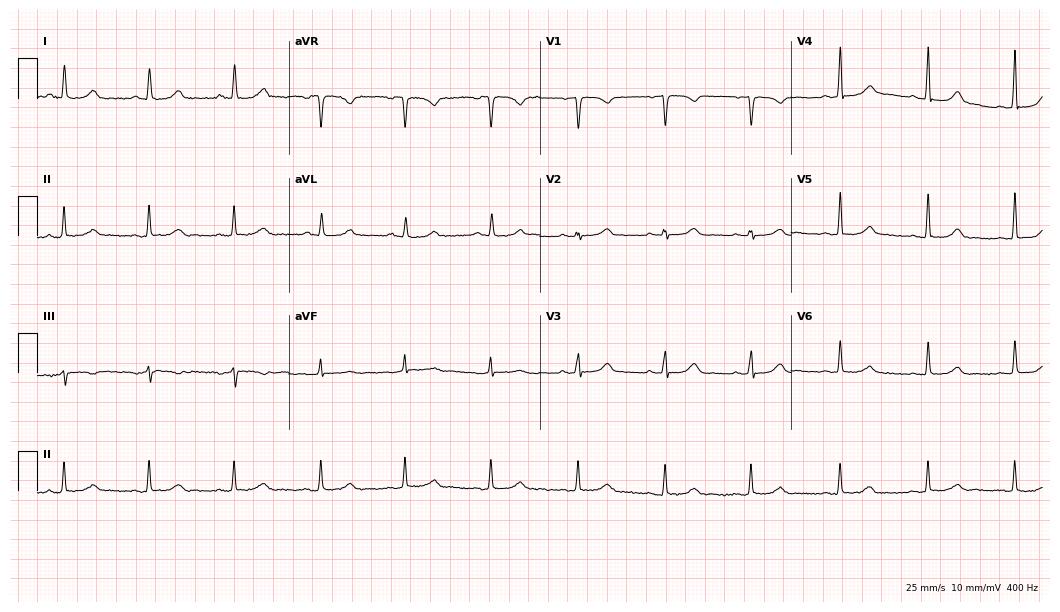
12-lead ECG from a 69-year-old female (10.2-second recording at 400 Hz). Recorded interpretation: within normal limits.